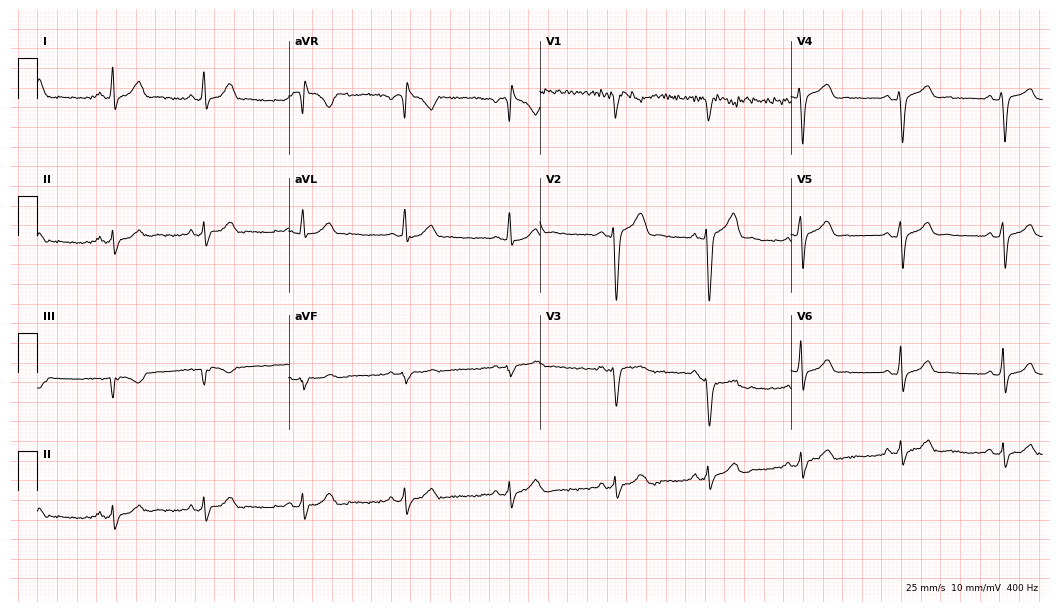
ECG (10.2-second recording at 400 Hz) — a 27-year-old male. Labelled as a normal ECG.